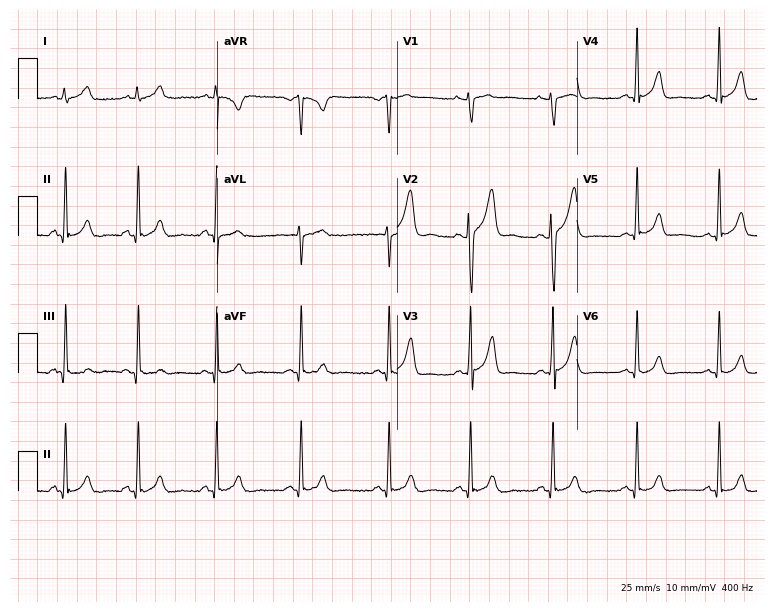
Resting 12-lead electrocardiogram. Patient: a 27-year-old female. Read as a normal ECG.